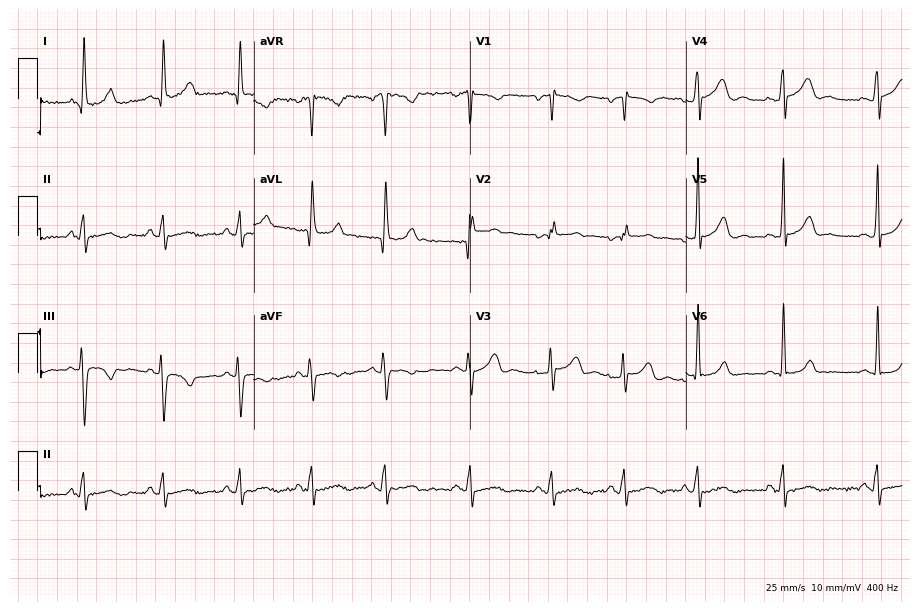
ECG — a female, 34 years old. Screened for six findings — first-degree AV block, right bundle branch block, left bundle branch block, sinus bradycardia, atrial fibrillation, sinus tachycardia — none is recorded. Other findings, if any, are not listed.